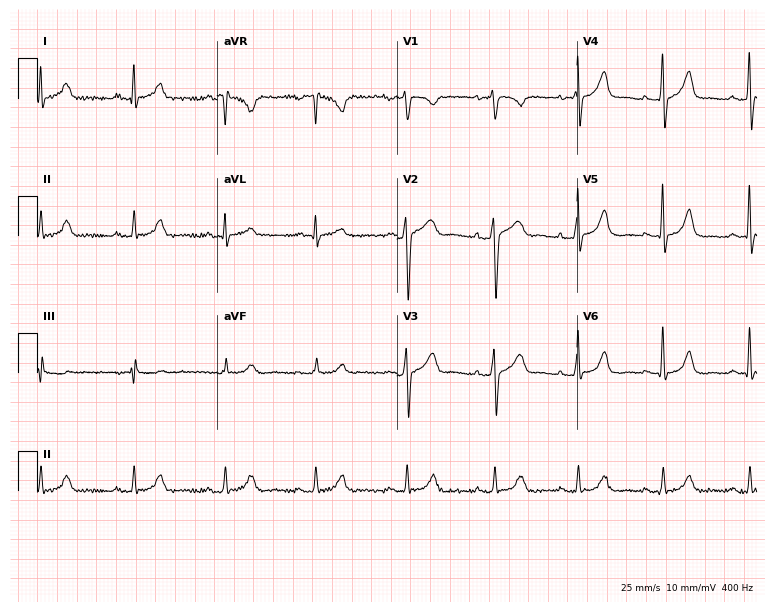
ECG — a 60-year-old man. Labelled as a normal ECG.